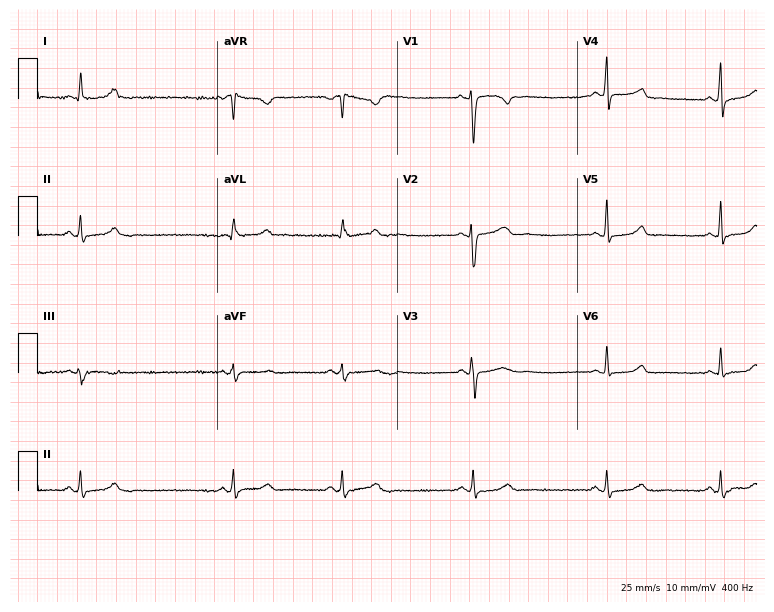
12-lead ECG from a woman, 42 years old (7.3-second recording at 400 Hz). No first-degree AV block, right bundle branch block, left bundle branch block, sinus bradycardia, atrial fibrillation or sinus tachycardia recorded for this tracing.